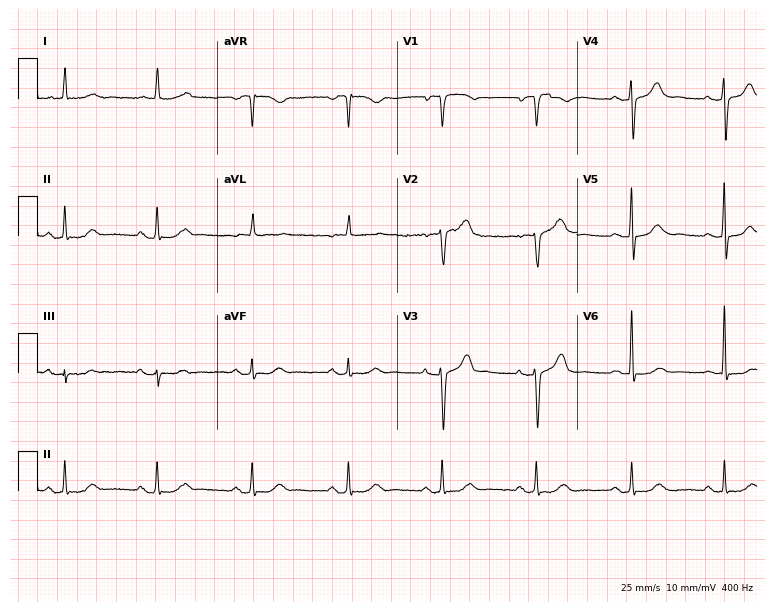
12-lead ECG from a female, 71 years old. Screened for six findings — first-degree AV block, right bundle branch block, left bundle branch block, sinus bradycardia, atrial fibrillation, sinus tachycardia — none is recorded. Findings outside these six are not listed.